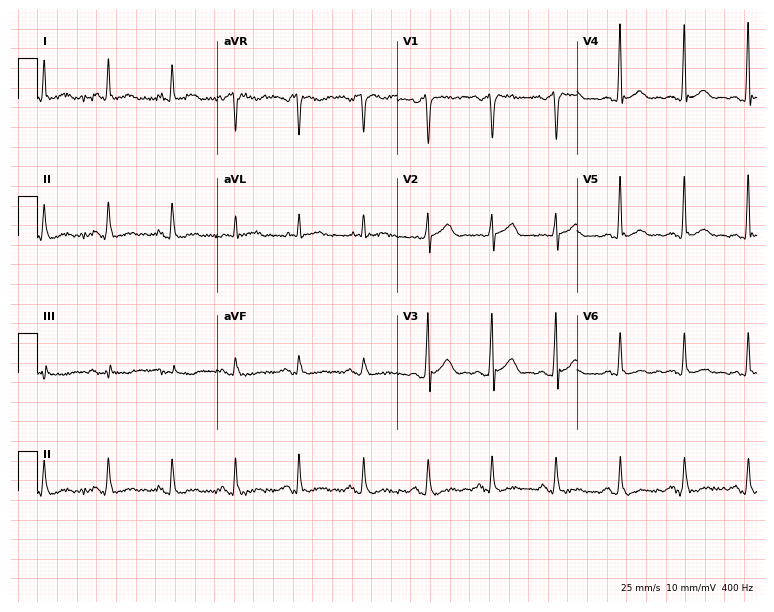
Electrocardiogram, a male patient, 67 years old. Overall reading on record: normal ECG.